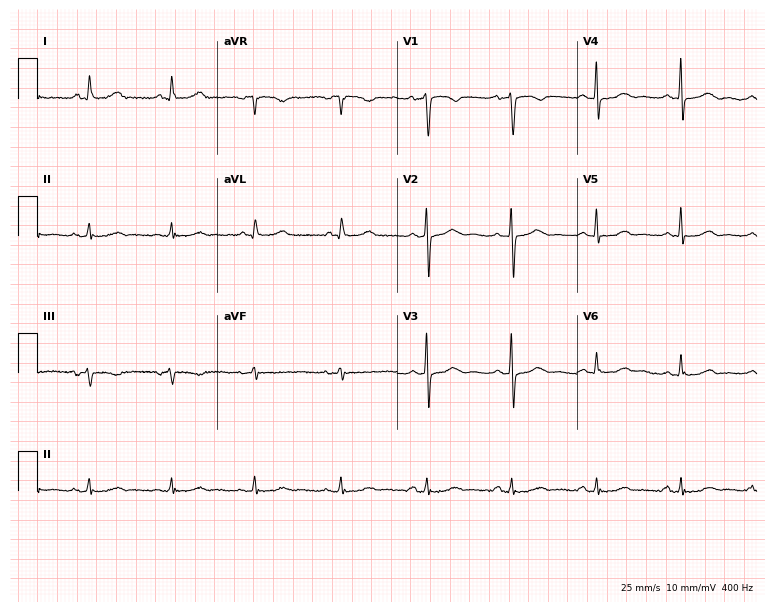
Resting 12-lead electrocardiogram. Patient: a female, 72 years old. None of these six findings is recorded: first-degree AV block, right bundle branch block (RBBB), left bundle branch block (LBBB), sinus bradycardia, atrial fibrillation (AF), sinus tachycardia. Only these six findings were labelled.